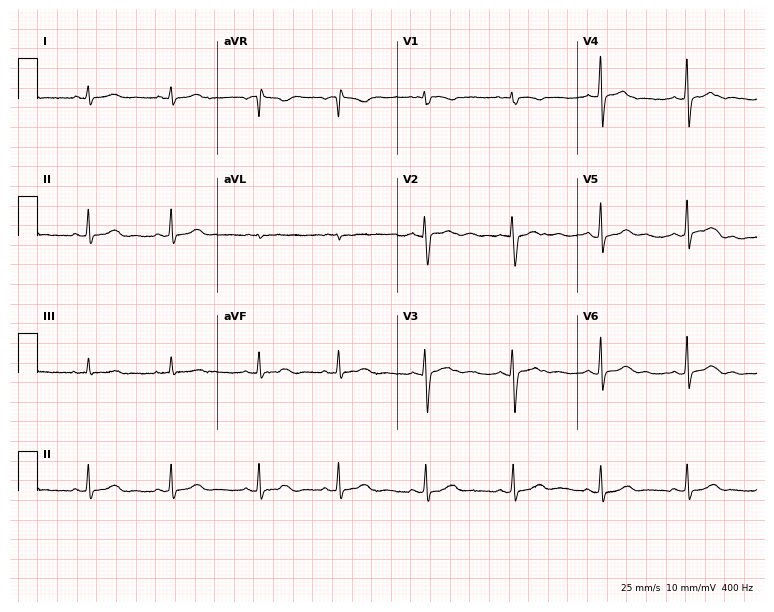
12-lead ECG (7.3-second recording at 400 Hz) from a 27-year-old woman. Labelled as a normal ECG.